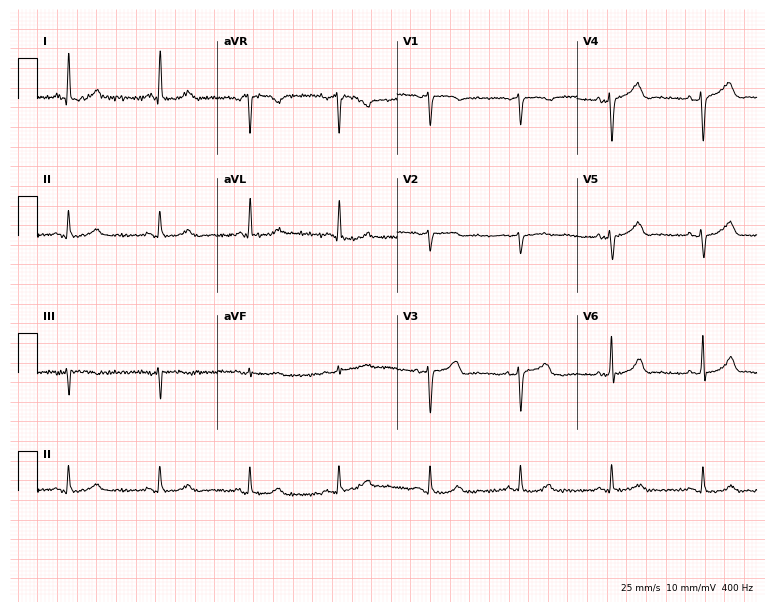
ECG — a female, 68 years old. Screened for six findings — first-degree AV block, right bundle branch block (RBBB), left bundle branch block (LBBB), sinus bradycardia, atrial fibrillation (AF), sinus tachycardia — none is recorded.